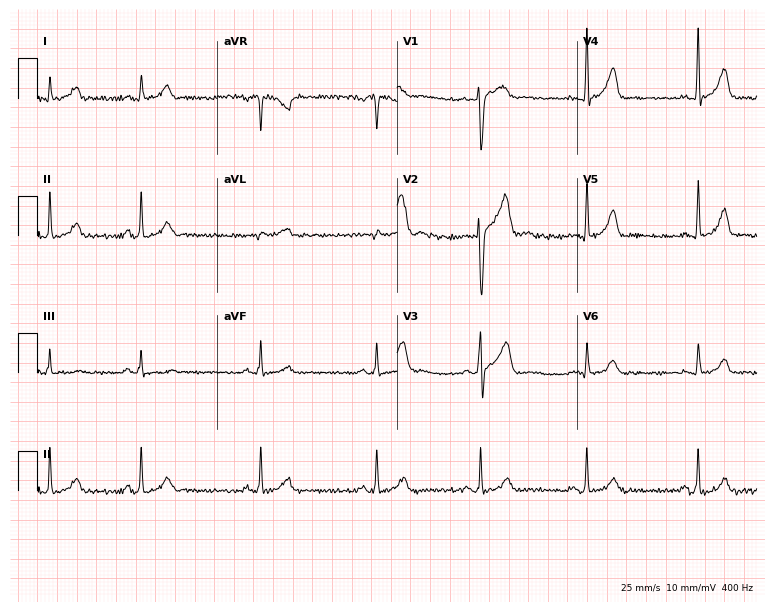
Standard 12-lead ECG recorded from a man, 23 years old. None of these six findings is recorded: first-degree AV block, right bundle branch block, left bundle branch block, sinus bradycardia, atrial fibrillation, sinus tachycardia.